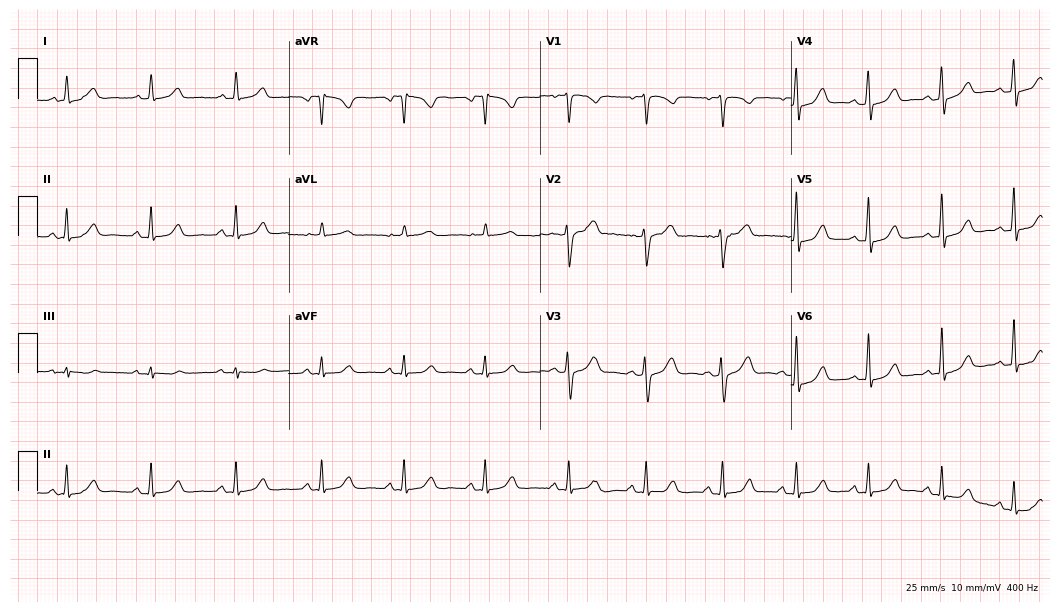
12-lead ECG from a 45-year-old female patient. Recorded interpretation: within normal limits.